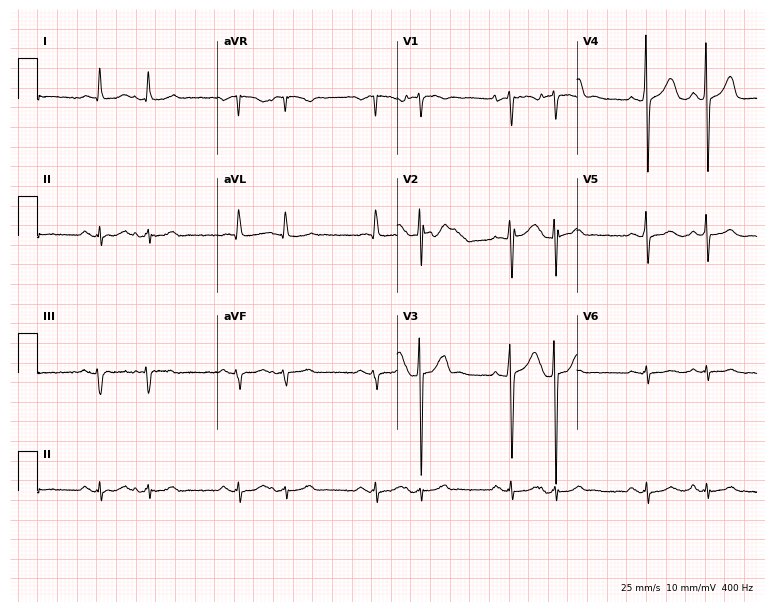
ECG (7.3-second recording at 400 Hz) — a female, 85 years old. Screened for six findings — first-degree AV block, right bundle branch block (RBBB), left bundle branch block (LBBB), sinus bradycardia, atrial fibrillation (AF), sinus tachycardia — none is recorded.